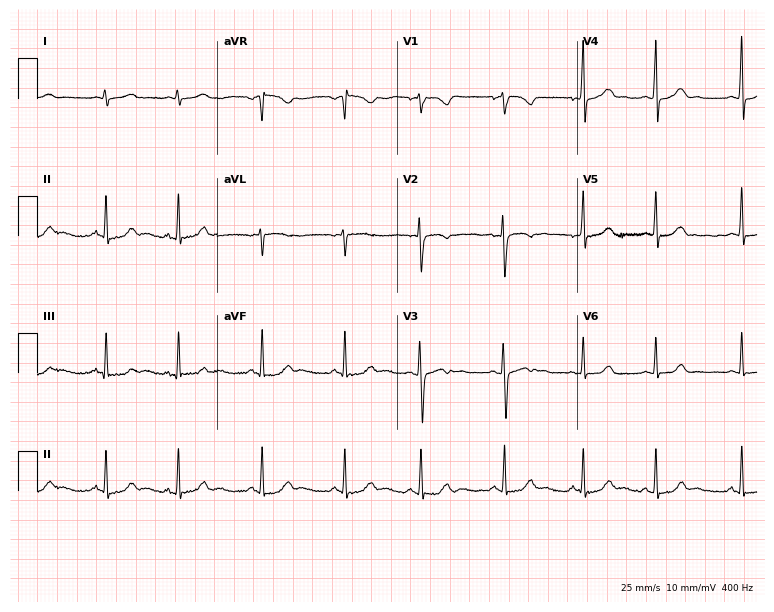
12-lead ECG from a woman, 19 years old. Recorded interpretation: within normal limits.